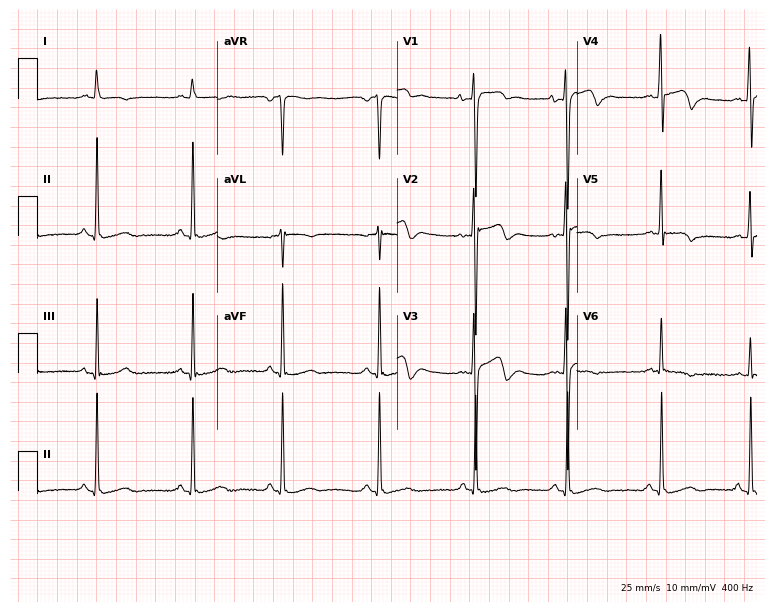
12-lead ECG from a male patient, 22 years old (7.3-second recording at 400 Hz). No first-degree AV block, right bundle branch block, left bundle branch block, sinus bradycardia, atrial fibrillation or sinus tachycardia recorded for this tracing.